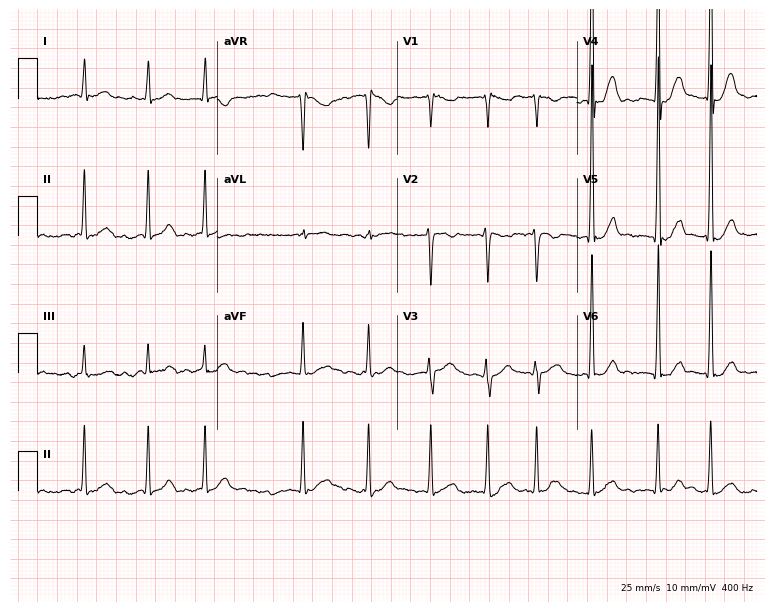
Electrocardiogram, a 35-year-old male patient. Interpretation includes atrial fibrillation (AF).